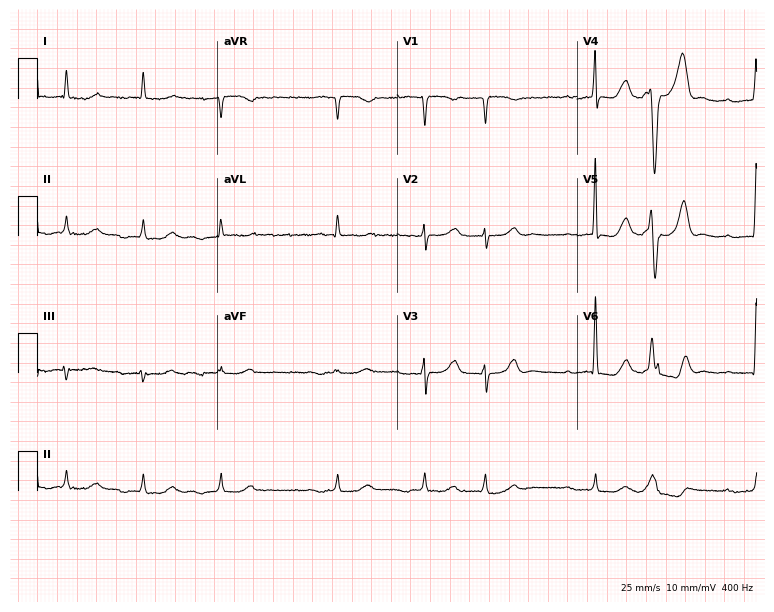
Resting 12-lead electrocardiogram (7.3-second recording at 400 Hz). Patient: a 75-year-old woman. The tracing shows atrial fibrillation.